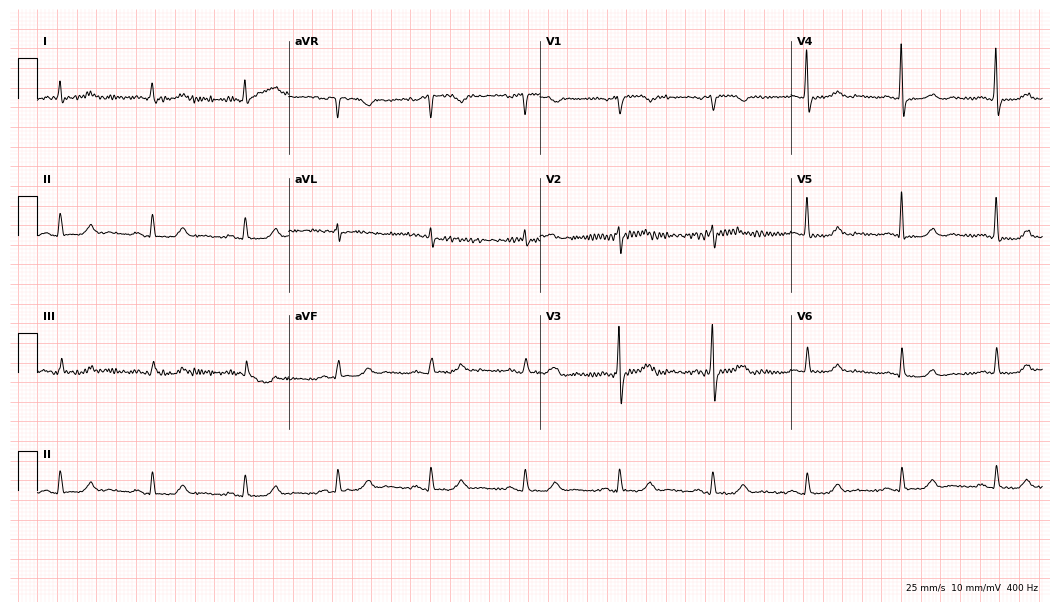
ECG — an 84-year-old man. Labelled as a normal ECG.